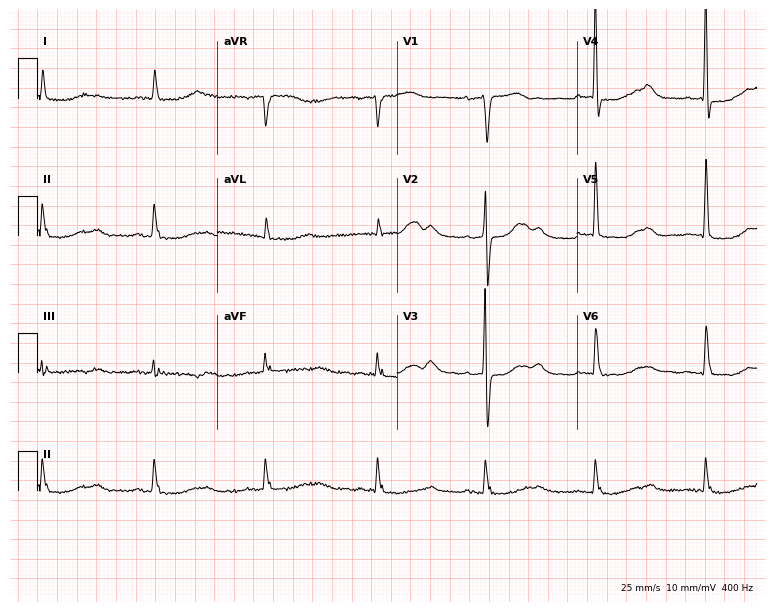
12-lead ECG from a woman, 78 years old (7.3-second recording at 400 Hz). No first-degree AV block, right bundle branch block, left bundle branch block, sinus bradycardia, atrial fibrillation or sinus tachycardia recorded for this tracing. Findings outside these six are not listed.